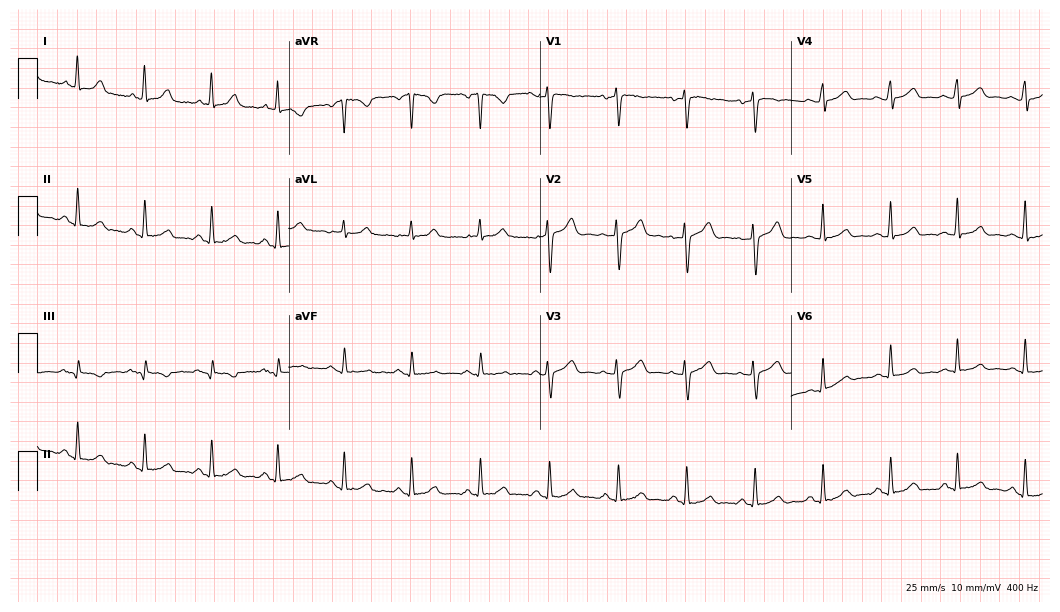
12-lead ECG from a female, 20 years old. Recorded interpretation: within normal limits.